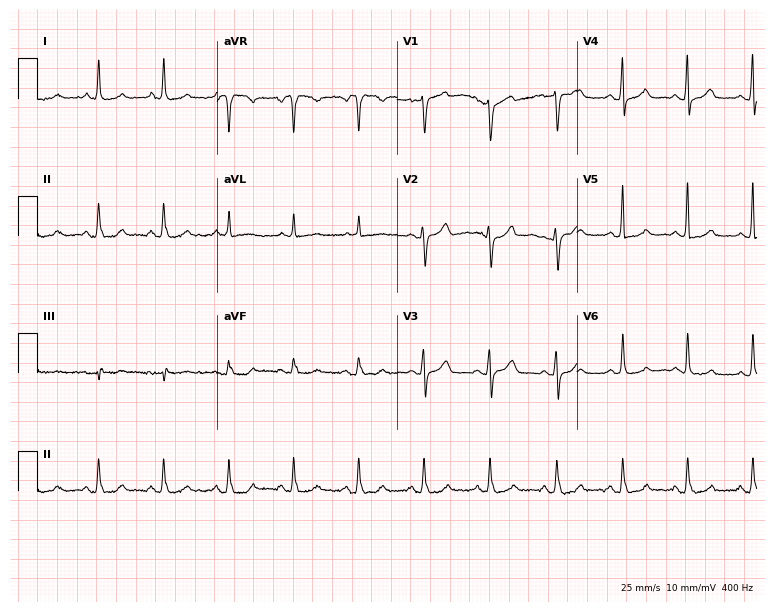
12-lead ECG from a woman, 70 years old. No first-degree AV block, right bundle branch block, left bundle branch block, sinus bradycardia, atrial fibrillation or sinus tachycardia recorded for this tracing. Only these six findings were labelled.